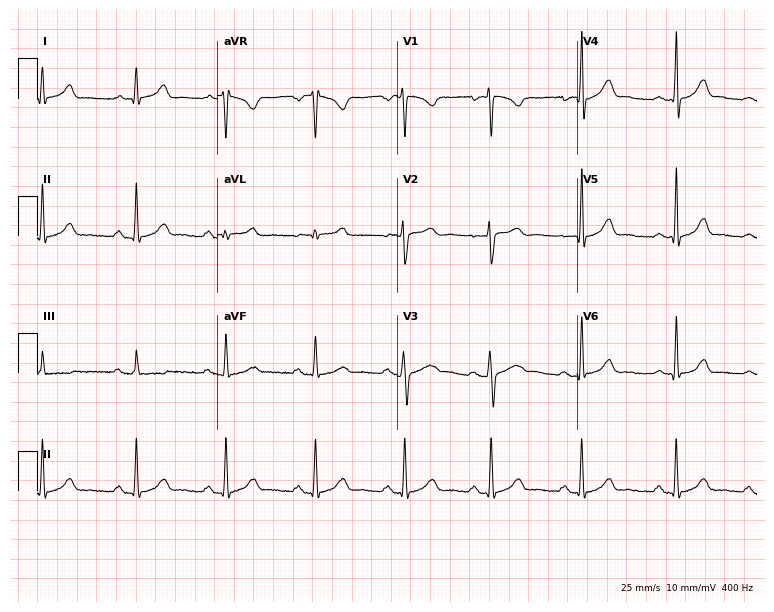
ECG (7.3-second recording at 400 Hz) — a 28-year-old female. Labelled as a normal ECG.